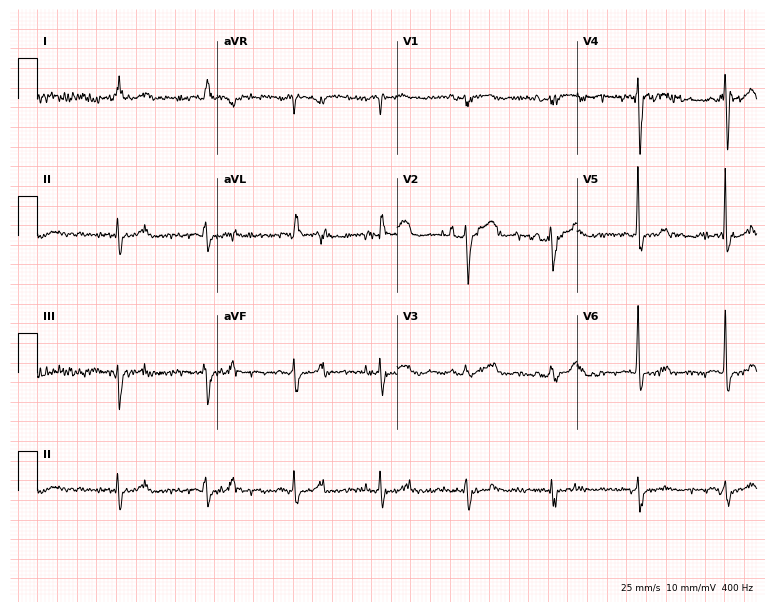
ECG (7.3-second recording at 400 Hz) — a female, 79 years old. Screened for six findings — first-degree AV block, right bundle branch block, left bundle branch block, sinus bradycardia, atrial fibrillation, sinus tachycardia — none is recorded. Findings outside these six are not listed.